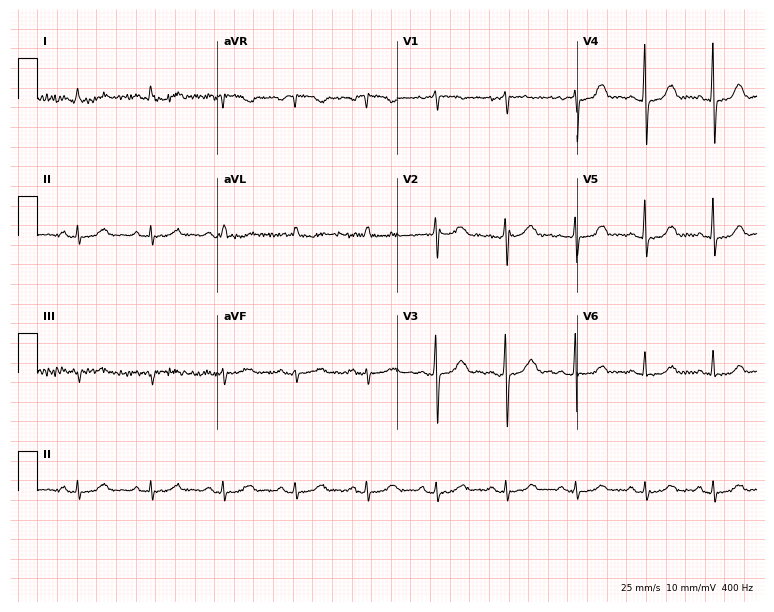
12-lead ECG (7.3-second recording at 400 Hz) from a 67-year-old female. Screened for six findings — first-degree AV block, right bundle branch block, left bundle branch block, sinus bradycardia, atrial fibrillation, sinus tachycardia — none is recorded. Other findings, if any, are not listed.